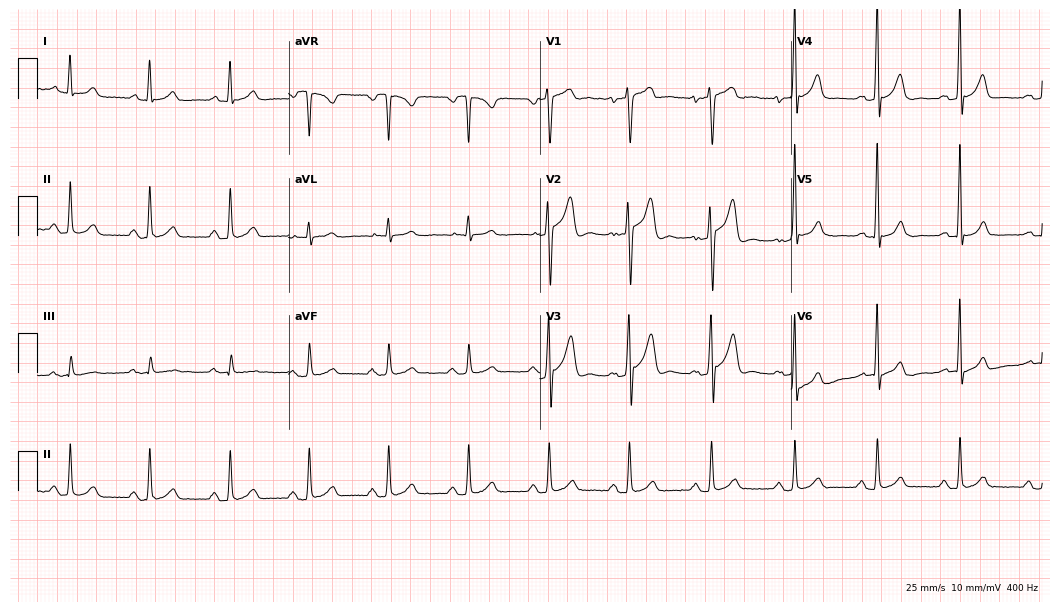
Electrocardiogram, a 41-year-old male patient. Overall reading on record: normal ECG.